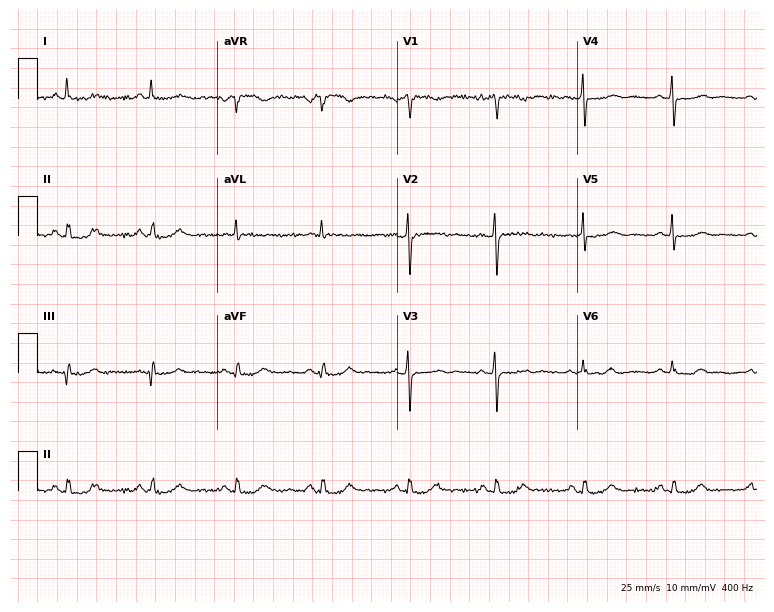
12-lead ECG (7.3-second recording at 400 Hz) from a female, 79 years old. Screened for six findings — first-degree AV block, right bundle branch block, left bundle branch block, sinus bradycardia, atrial fibrillation, sinus tachycardia — none is recorded.